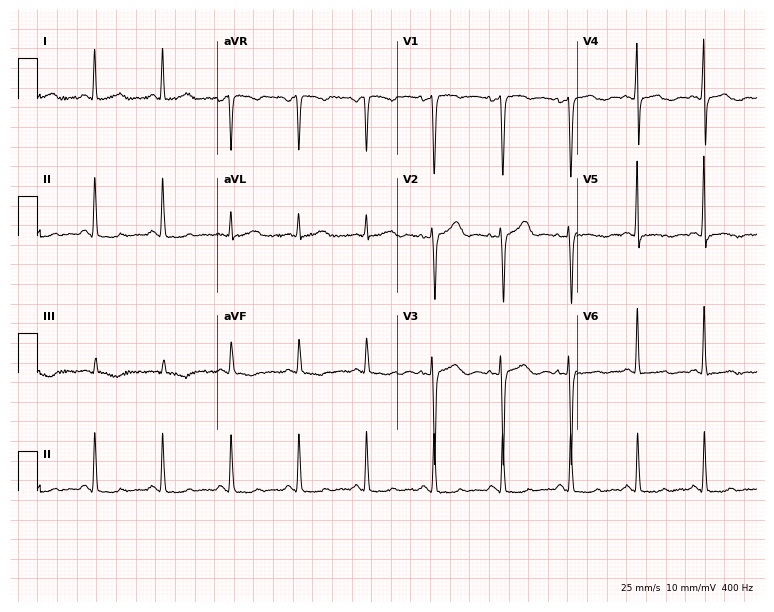
Resting 12-lead electrocardiogram. Patient: a woman, 44 years old. None of these six findings is recorded: first-degree AV block, right bundle branch block (RBBB), left bundle branch block (LBBB), sinus bradycardia, atrial fibrillation (AF), sinus tachycardia. Findings outside these six are not listed.